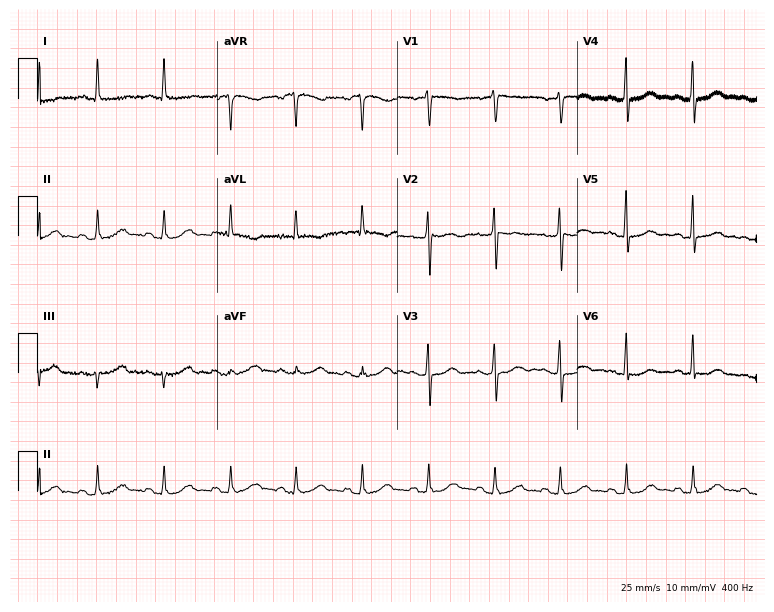
Electrocardiogram, a 63-year-old woman. Overall reading on record: normal ECG.